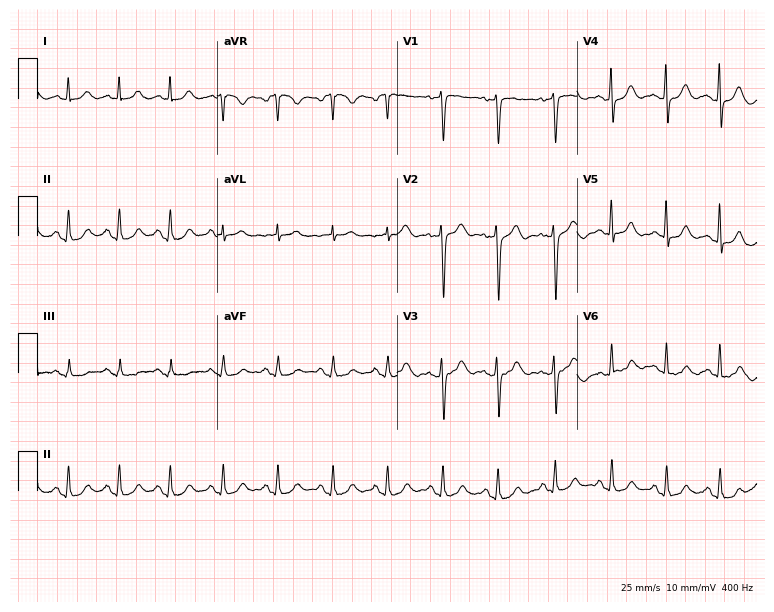
Resting 12-lead electrocardiogram. Patient: a 48-year-old female. None of these six findings is recorded: first-degree AV block, right bundle branch block, left bundle branch block, sinus bradycardia, atrial fibrillation, sinus tachycardia. Other findings, if any, are not listed.